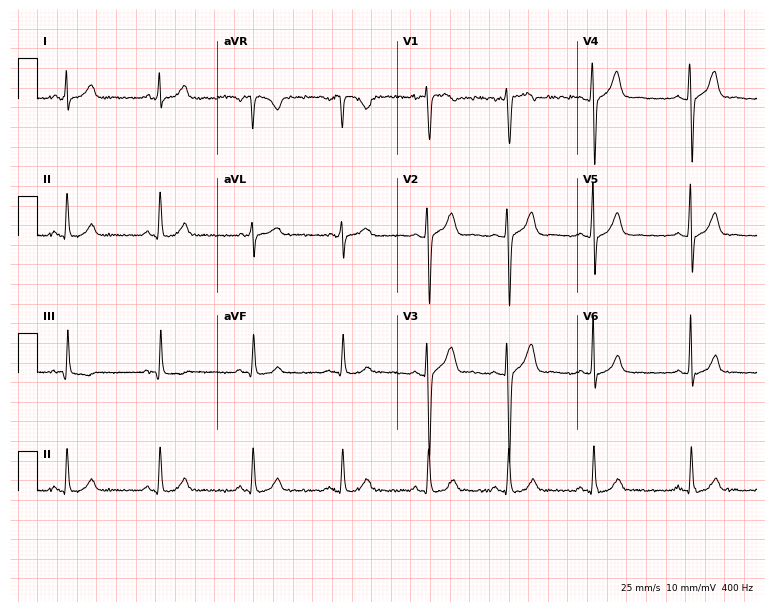
12-lead ECG (7.3-second recording at 400 Hz) from a 25-year-old male patient. Screened for six findings — first-degree AV block, right bundle branch block (RBBB), left bundle branch block (LBBB), sinus bradycardia, atrial fibrillation (AF), sinus tachycardia — none is recorded.